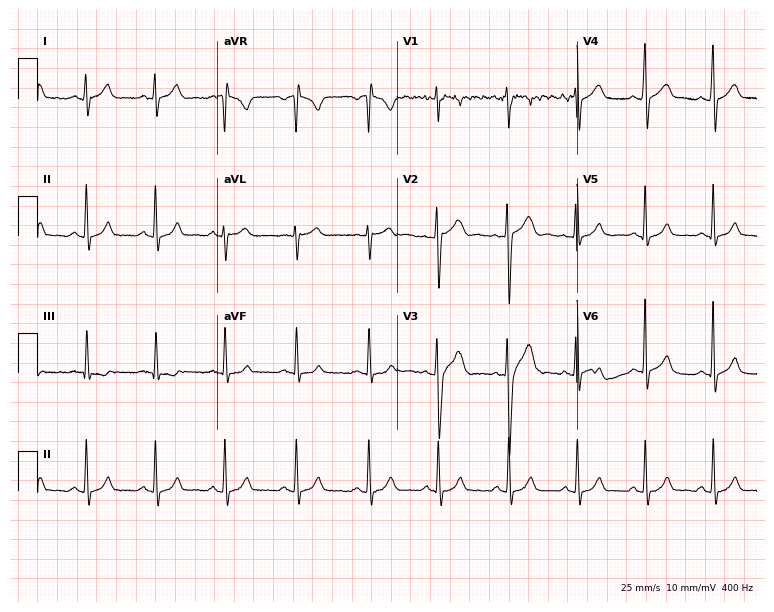
ECG — a 22-year-old male. Labelled as a normal ECG.